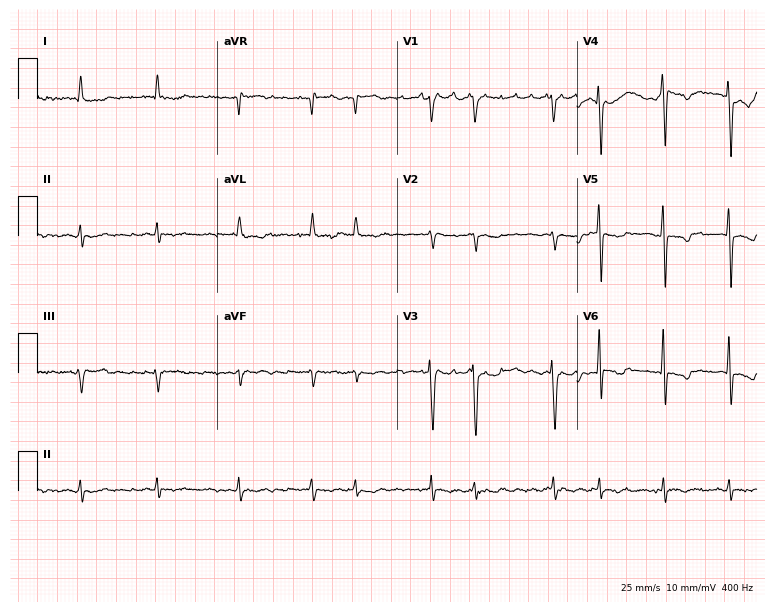
12-lead ECG from a male, 76 years old. Shows atrial fibrillation.